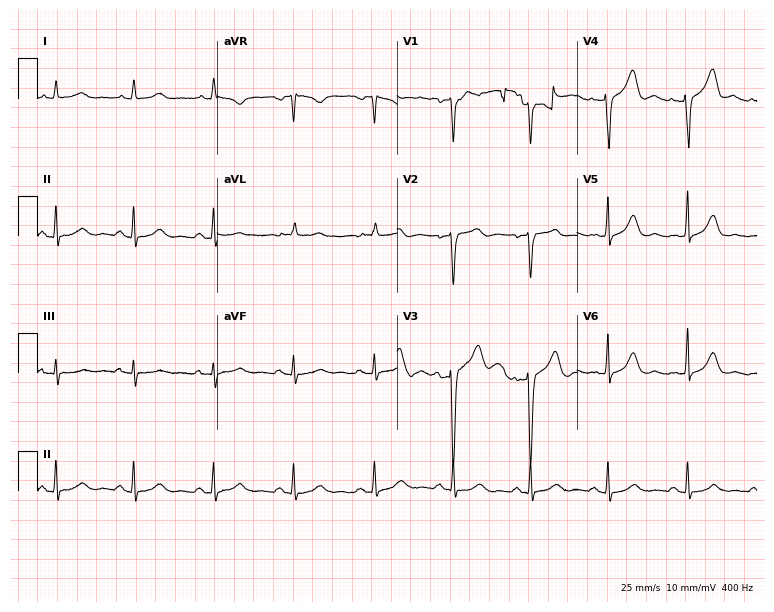
12-lead ECG from a male patient, 46 years old. Recorded interpretation: within normal limits.